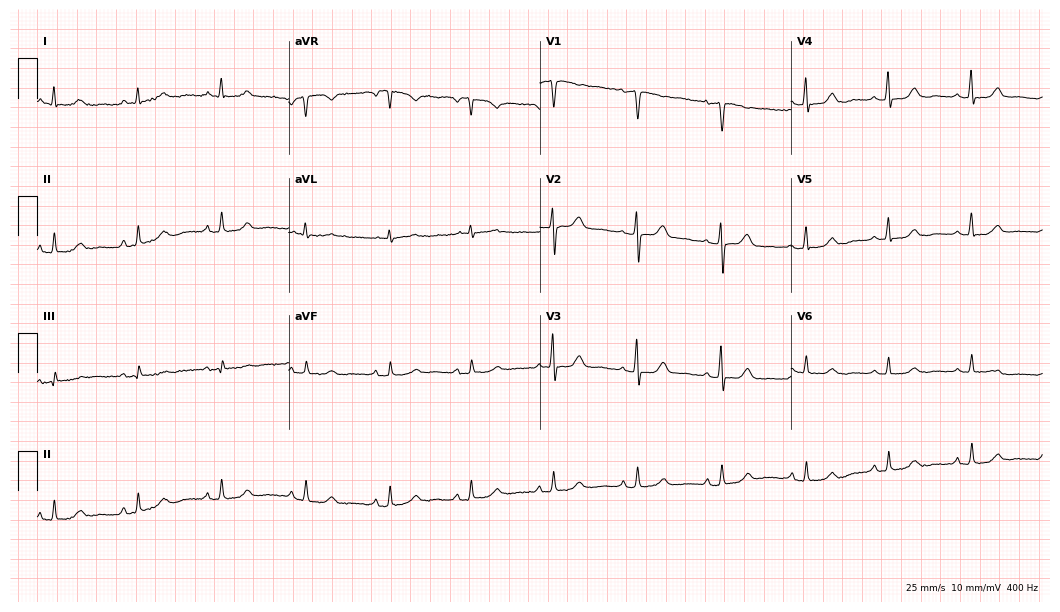
Standard 12-lead ECG recorded from a 62-year-old female patient (10.2-second recording at 400 Hz). None of these six findings is recorded: first-degree AV block, right bundle branch block, left bundle branch block, sinus bradycardia, atrial fibrillation, sinus tachycardia. Findings outside these six are not listed.